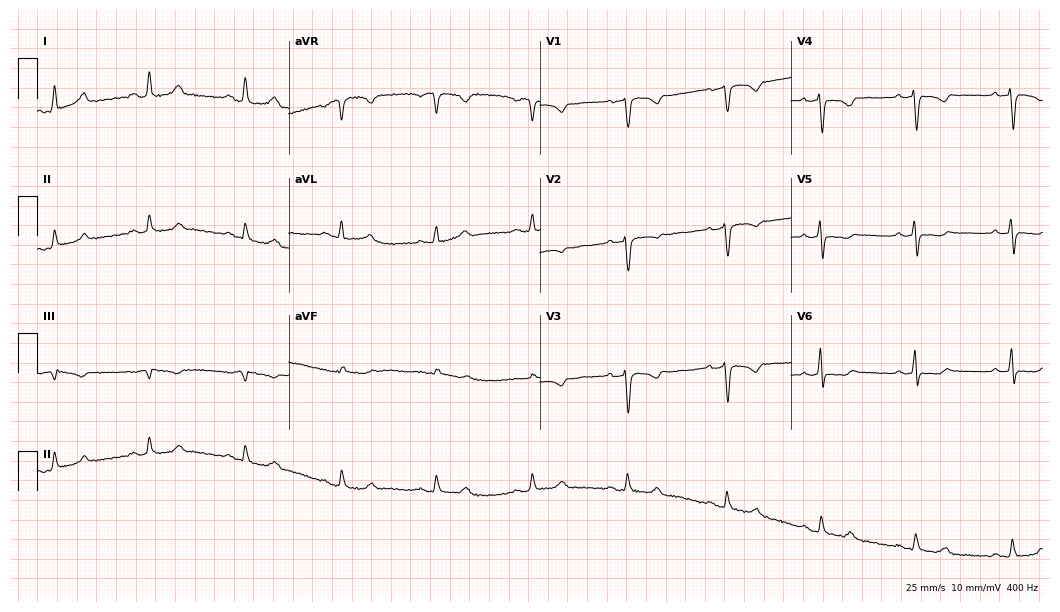
Resting 12-lead electrocardiogram. Patient: a 55-year-old female. None of these six findings is recorded: first-degree AV block, right bundle branch block, left bundle branch block, sinus bradycardia, atrial fibrillation, sinus tachycardia.